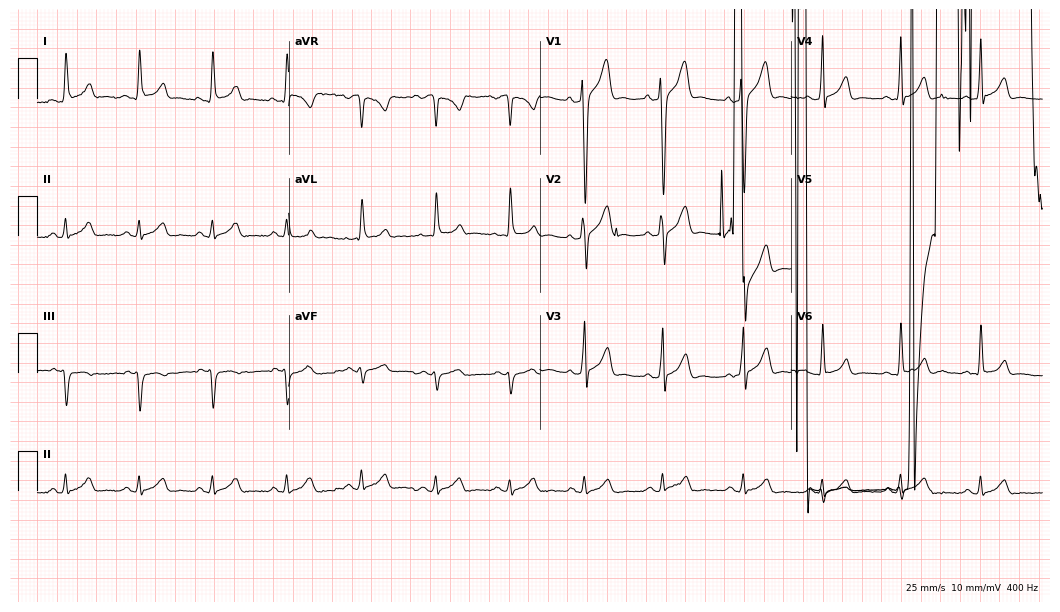
ECG — a 33-year-old male. Screened for six findings — first-degree AV block, right bundle branch block, left bundle branch block, sinus bradycardia, atrial fibrillation, sinus tachycardia — none is recorded.